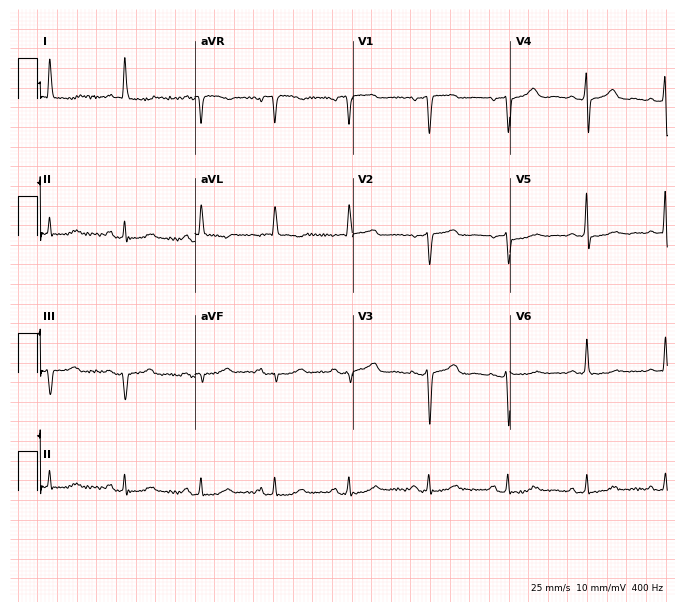
12-lead ECG from a female patient, 69 years old (6.4-second recording at 400 Hz). No first-degree AV block, right bundle branch block, left bundle branch block, sinus bradycardia, atrial fibrillation or sinus tachycardia recorded for this tracing. Findings outside these six are not listed.